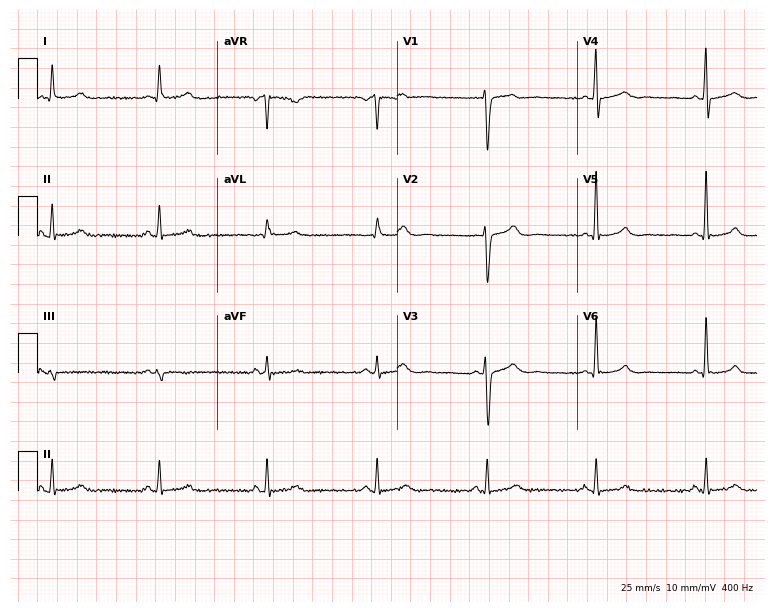
Resting 12-lead electrocardiogram. Patient: a male, 54 years old. Read as a normal ECG.